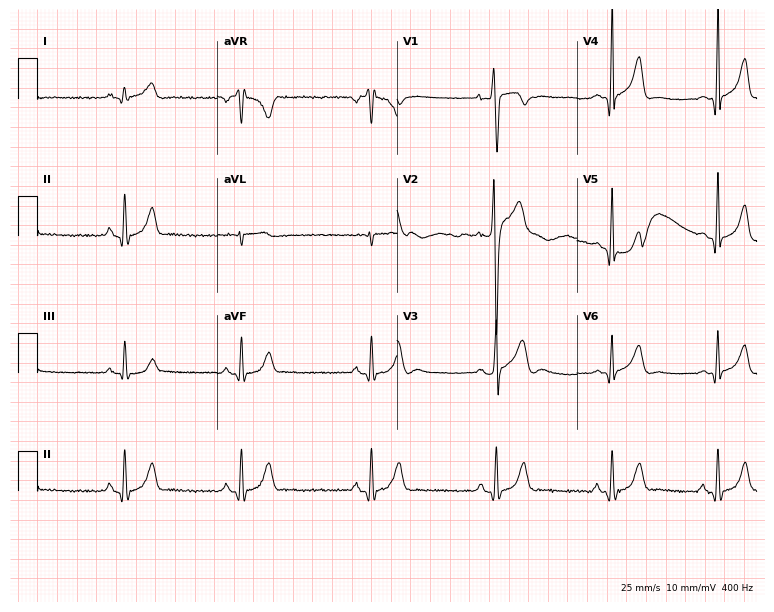
Resting 12-lead electrocardiogram (7.3-second recording at 400 Hz). Patient: a male, 19 years old. The tracing shows sinus bradycardia (a sinus rate of 50 beats per minute or less).